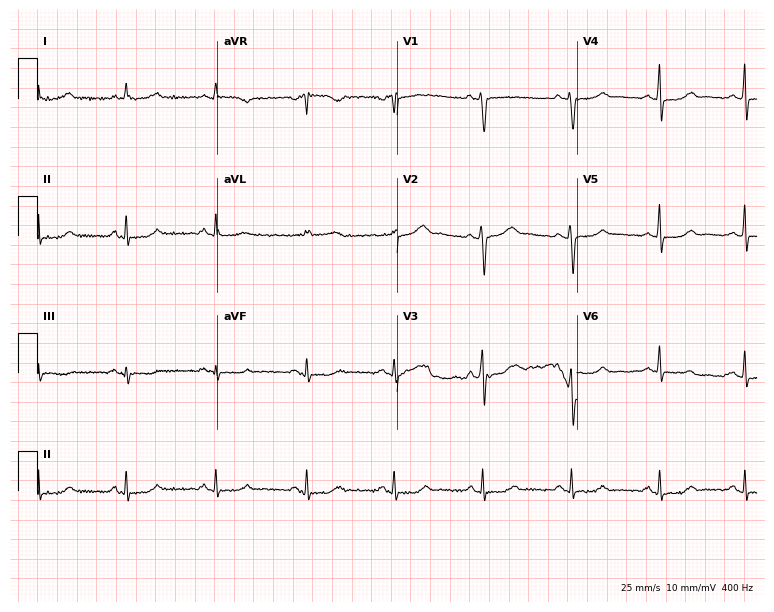
12-lead ECG from a 57-year-old female. Screened for six findings — first-degree AV block, right bundle branch block (RBBB), left bundle branch block (LBBB), sinus bradycardia, atrial fibrillation (AF), sinus tachycardia — none is recorded. Other findings, if any, are not listed.